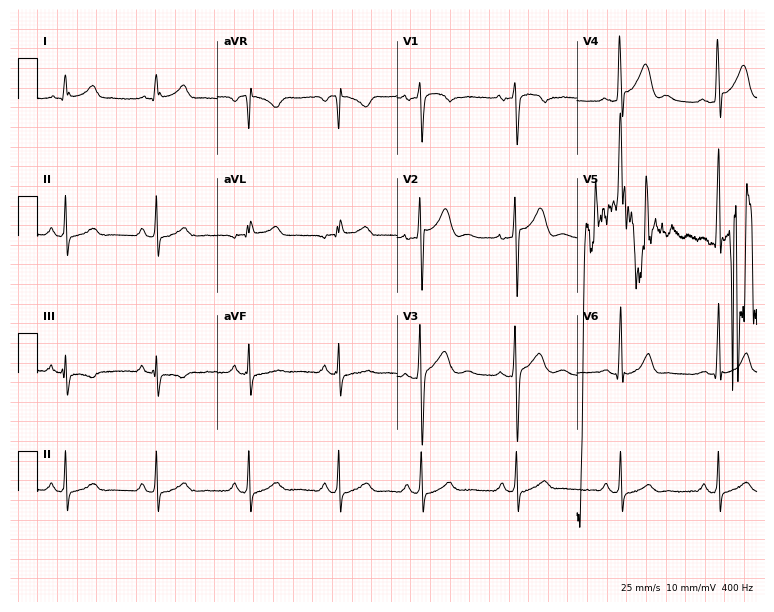
Resting 12-lead electrocardiogram. Patient: a 29-year-old male. Read as a normal ECG.